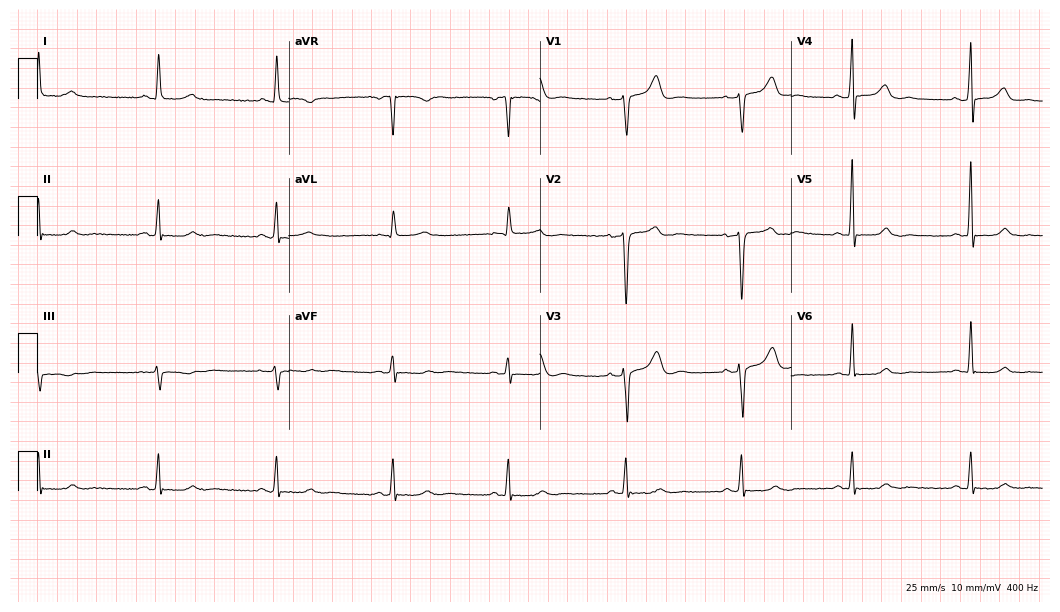
Electrocardiogram (10.2-second recording at 400 Hz), a female, 57 years old. Interpretation includes sinus bradycardia (a sinus rate of 50 beats per minute or less).